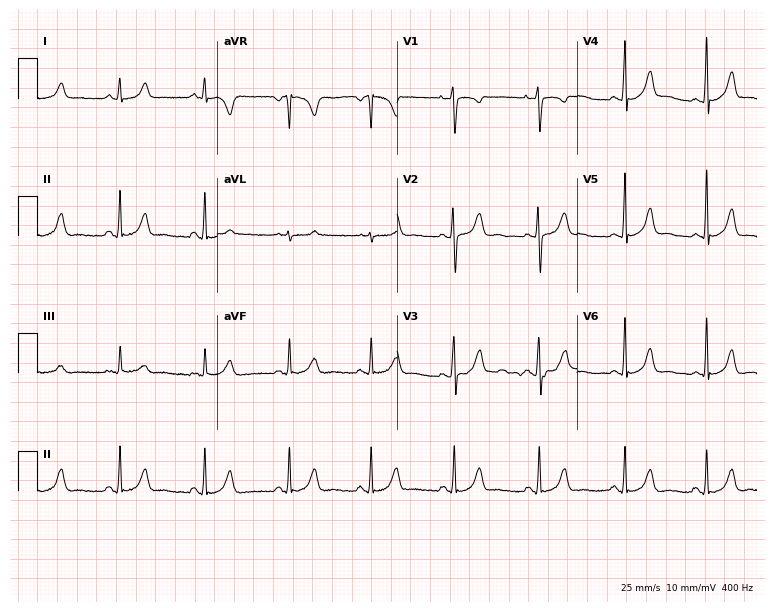
ECG — a female, 27 years old. Labelled as a normal ECG.